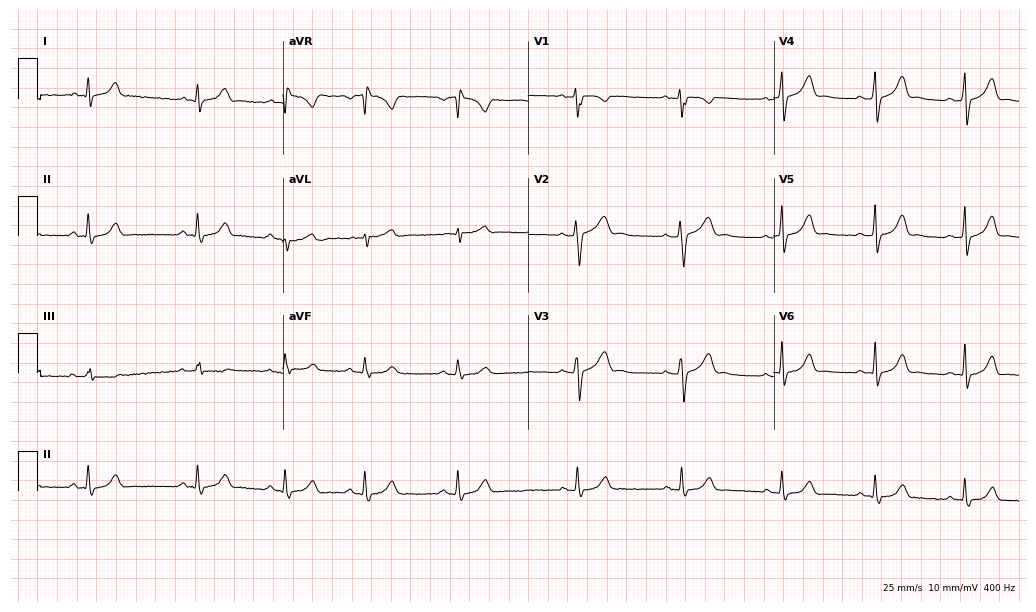
Electrocardiogram, a woman, 27 years old. Of the six screened findings (first-degree AV block, right bundle branch block, left bundle branch block, sinus bradycardia, atrial fibrillation, sinus tachycardia), none is recorded.